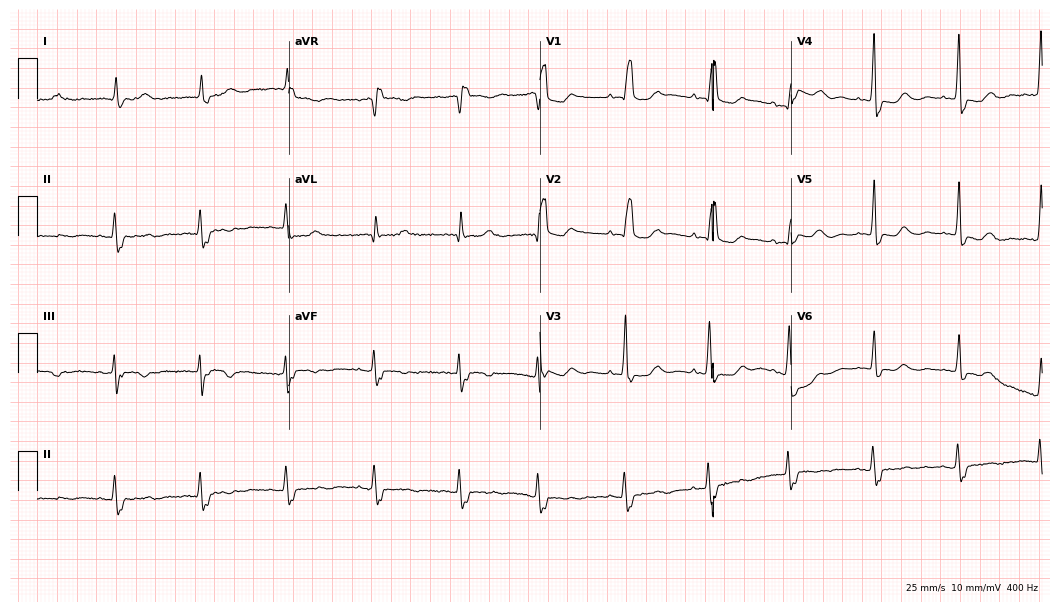
Standard 12-lead ECG recorded from a female patient, 78 years old (10.2-second recording at 400 Hz). The tracing shows right bundle branch block.